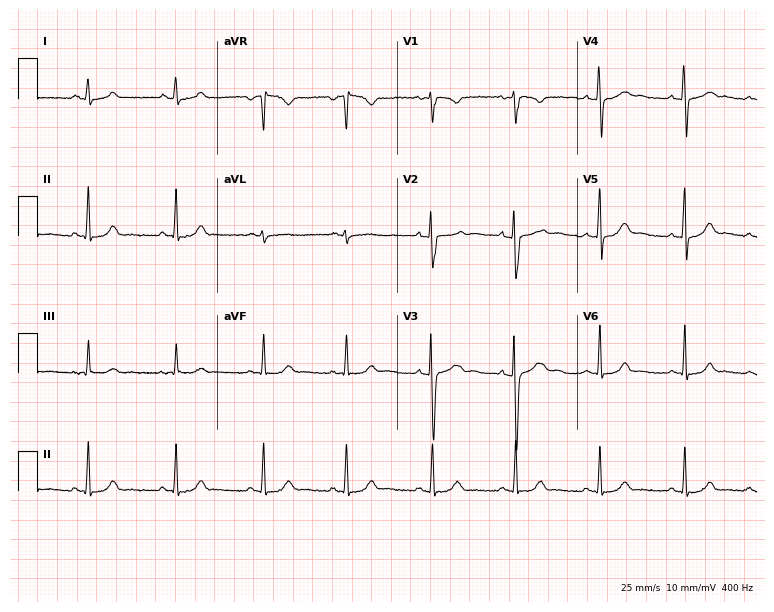
Resting 12-lead electrocardiogram. Patient: a female, 22 years old. Read as a normal ECG.